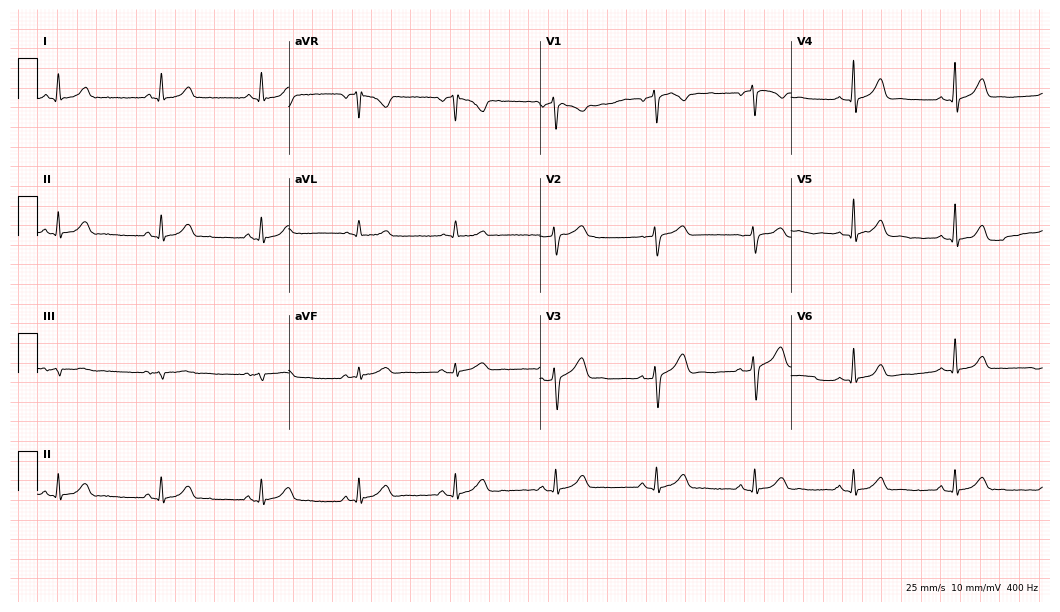
12-lead ECG from a female, 52 years old (10.2-second recording at 400 Hz). Recorded interpretation: within normal limits.